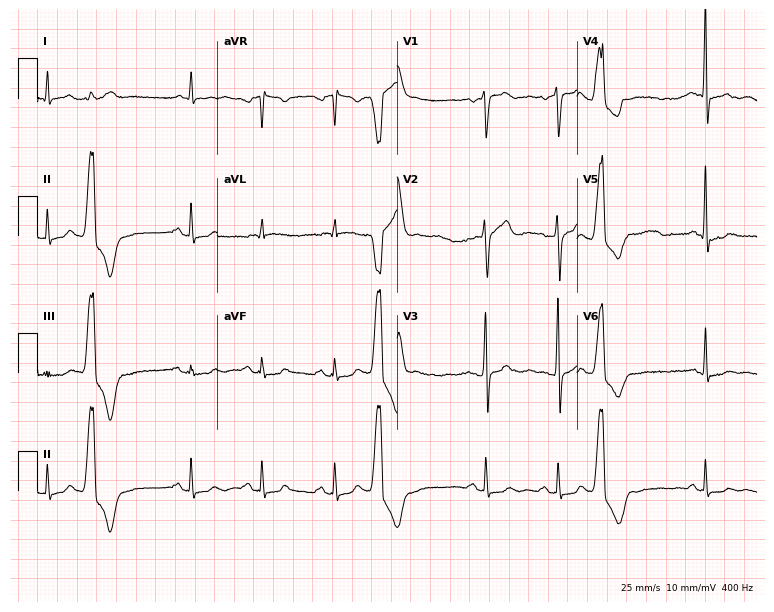
Resting 12-lead electrocardiogram (7.3-second recording at 400 Hz). Patient: a 44-year-old male. None of these six findings is recorded: first-degree AV block, right bundle branch block, left bundle branch block, sinus bradycardia, atrial fibrillation, sinus tachycardia.